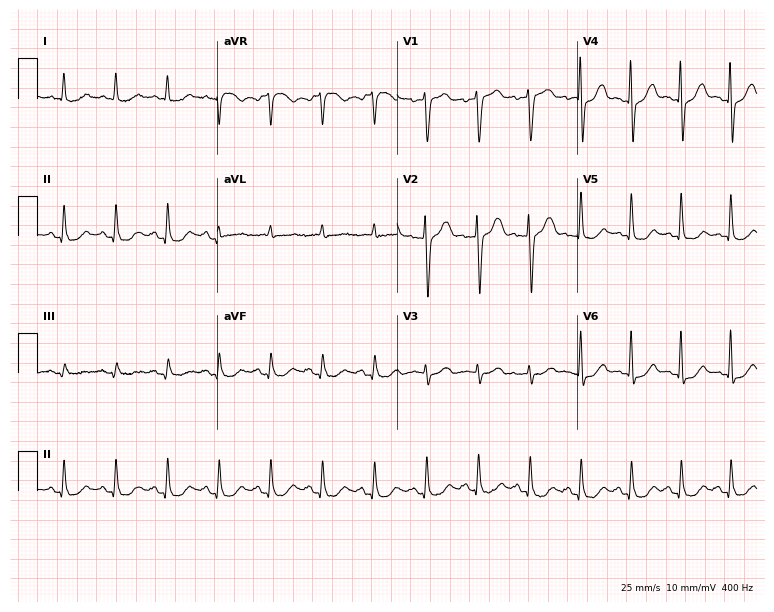
12-lead ECG from a 63-year-old male (7.3-second recording at 400 Hz). Shows sinus tachycardia (a sinus rate of 100 beats per minute or more).